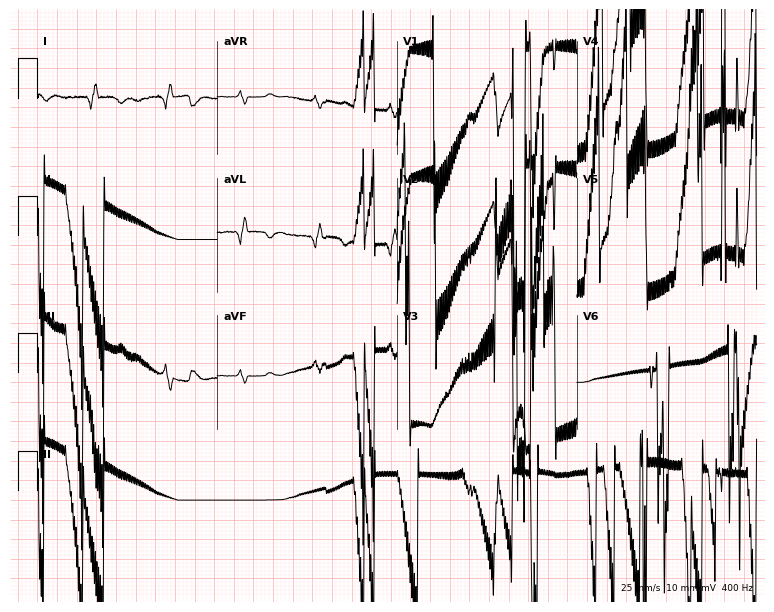
12-lead ECG (7.3-second recording at 400 Hz) from a 76-year-old male. Screened for six findings — first-degree AV block, right bundle branch block (RBBB), left bundle branch block (LBBB), sinus bradycardia, atrial fibrillation (AF), sinus tachycardia — none is recorded.